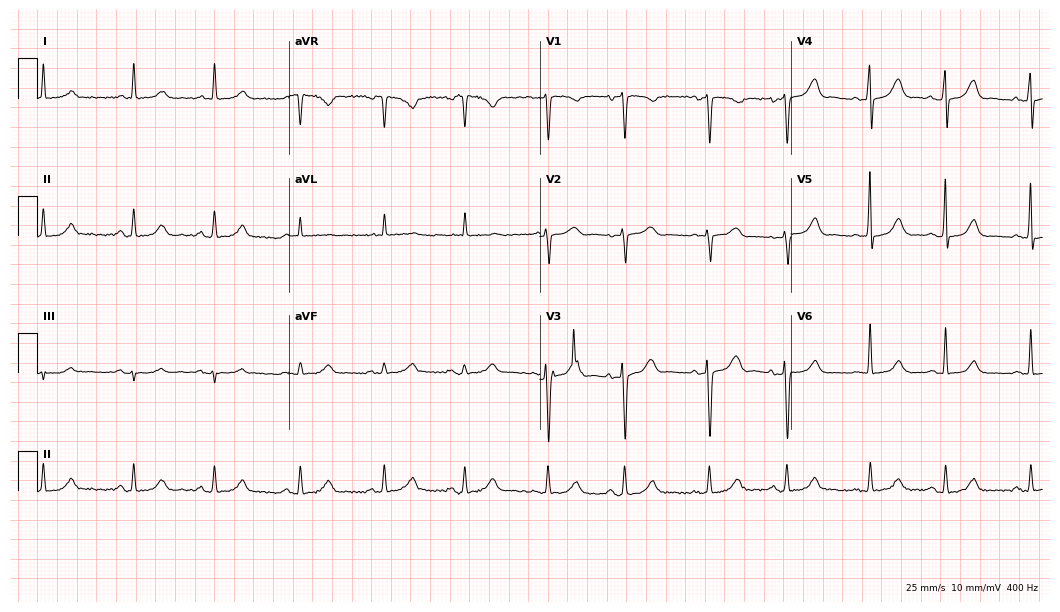
Resting 12-lead electrocardiogram (10.2-second recording at 400 Hz). Patient: a woman, 74 years old. None of these six findings is recorded: first-degree AV block, right bundle branch block, left bundle branch block, sinus bradycardia, atrial fibrillation, sinus tachycardia.